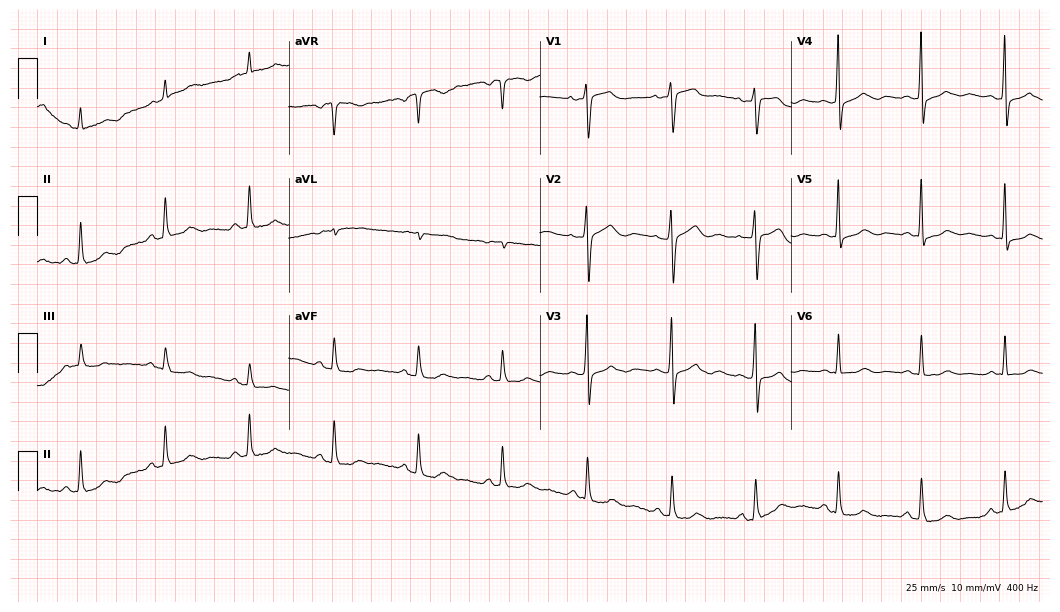
12-lead ECG (10.2-second recording at 400 Hz) from a female, 85 years old. Screened for six findings — first-degree AV block, right bundle branch block (RBBB), left bundle branch block (LBBB), sinus bradycardia, atrial fibrillation (AF), sinus tachycardia — none is recorded.